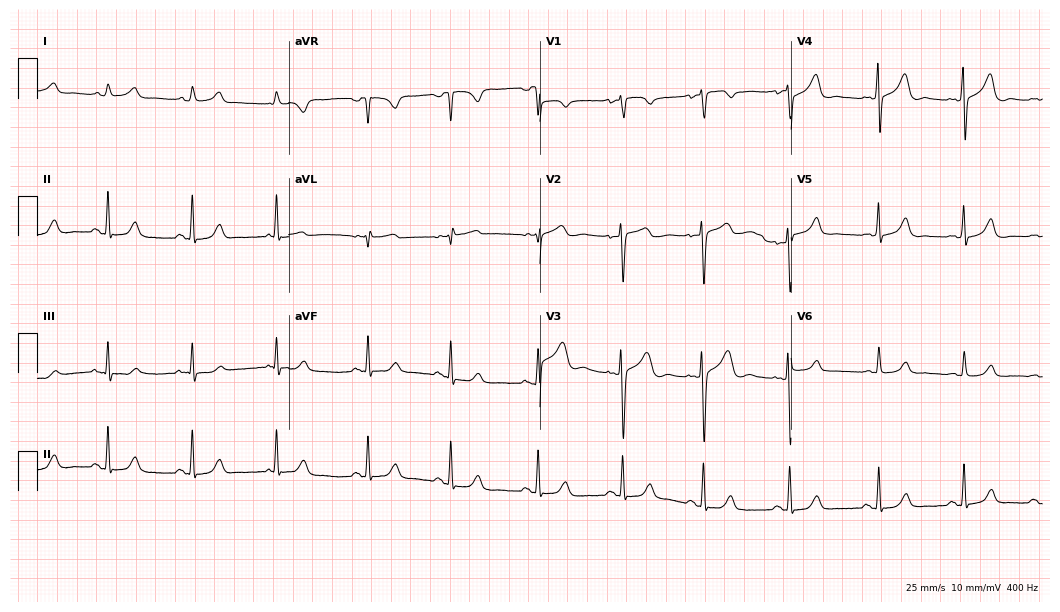
12-lead ECG from a 38-year-old female patient. Screened for six findings — first-degree AV block, right bundle branch block, left bundle branch block, sinus bradycardia, atrial fibrillation, sinus tachycardia — none is recorded. Findings outside these six are not listed.